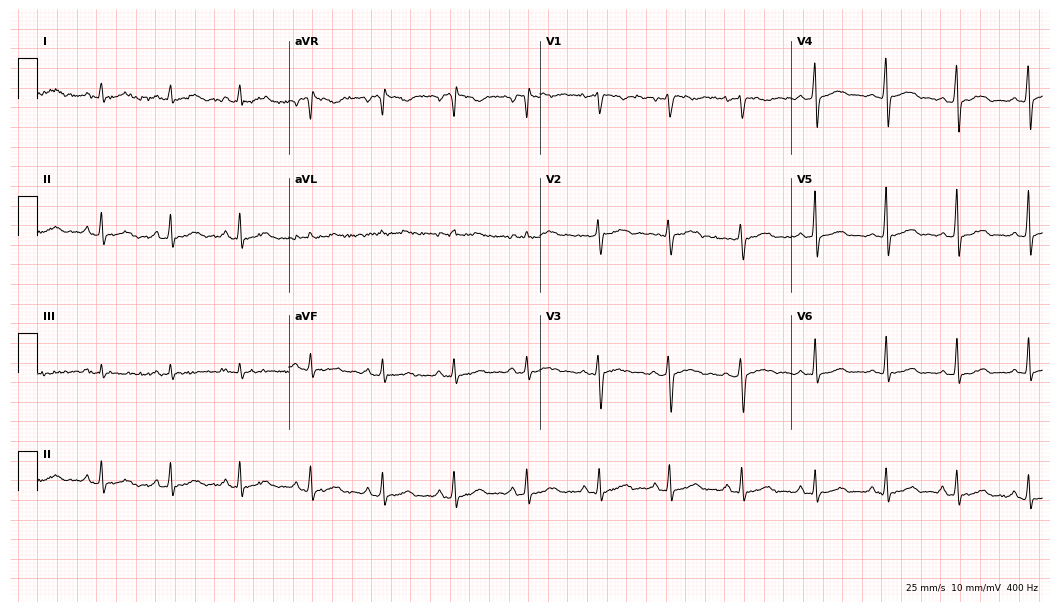
Resting 12-lead electrocardiogram (10.2-second recording at 400 Hz). Patient: a 29-year-old female. Read as a normal ECG.